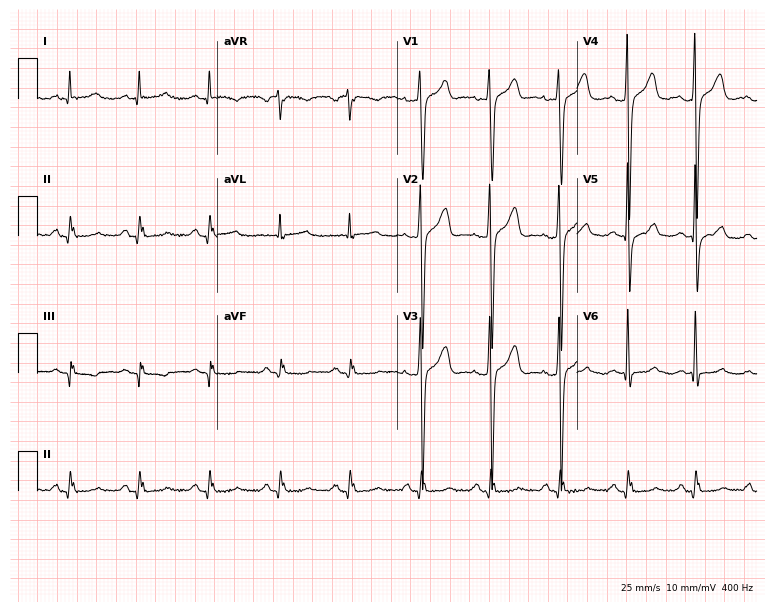
ECG (7.3-second recording at 400 Hz) — a male, 46 years old. Labelled as a normal ECG.